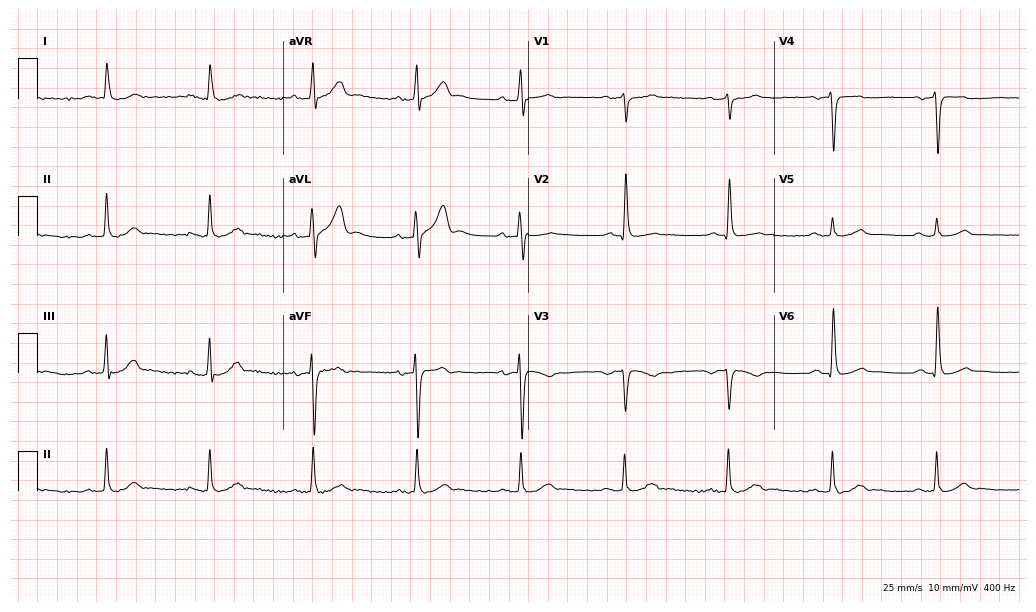
ECG (10-second recording at 400 Hz) — a male patient, 81 years old. Screened for six findings — first-degree AV block, right bundle branch block, left bundle branch block, sinus bradycardia, atrial fibrillation, sinus tachycardia — none is recorded.